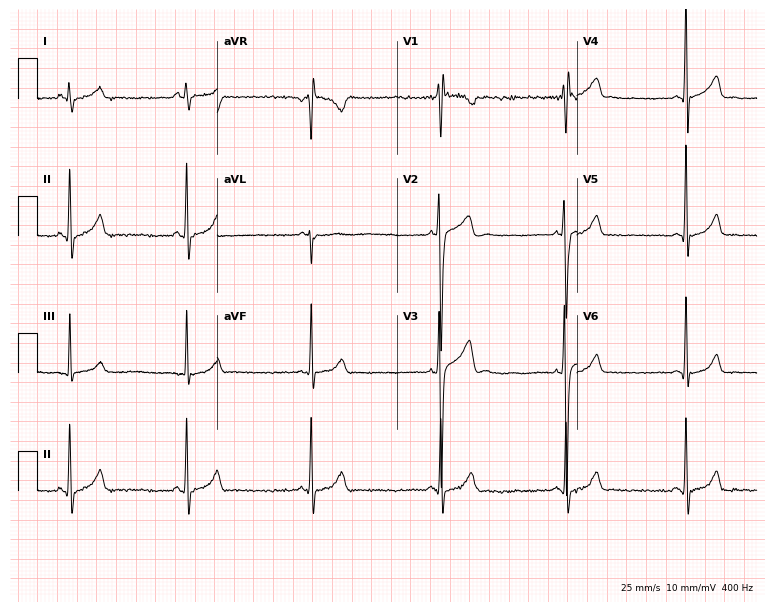
ECG (7.3-second recording at 400 Hz) — an 18-year-old male. Findings include sinus bradycardia (a sinus rate of 50 beats per minute or less).